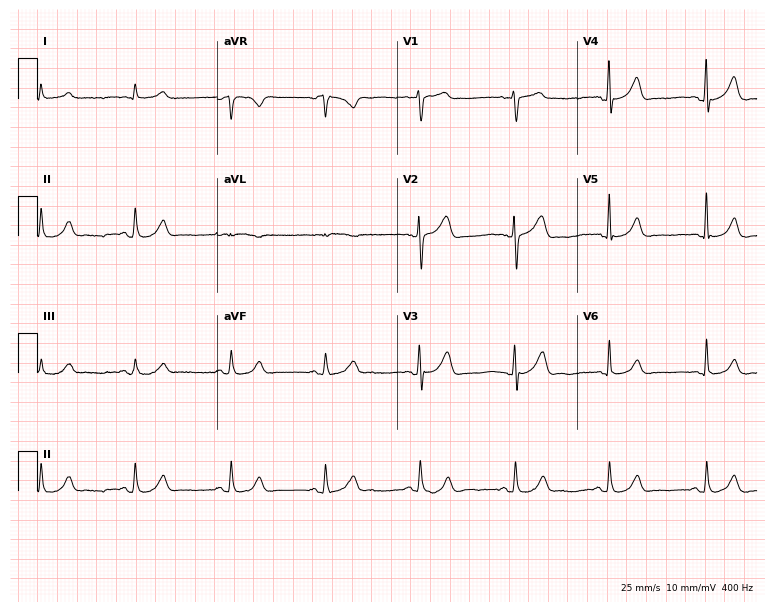
12-lead ECG from a 60-year-old male. Recorded interpretation: within normal limits.